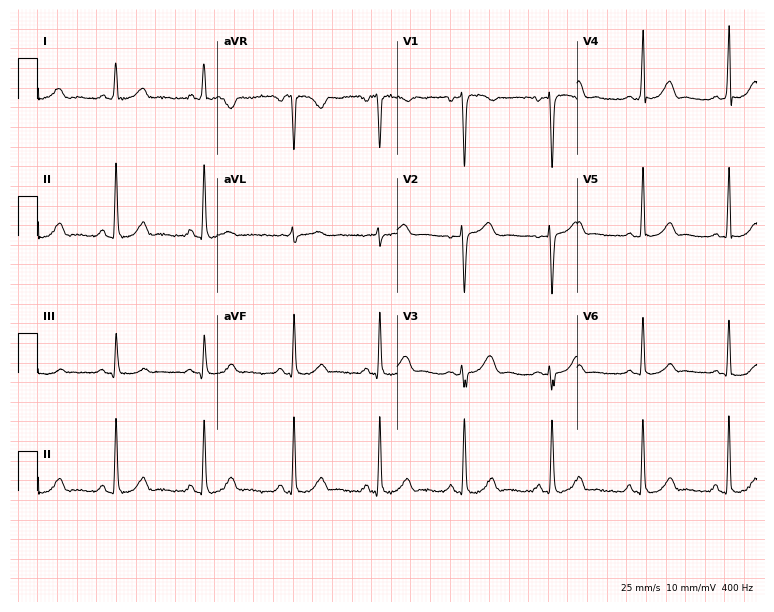
Standard 12-lead ECG recorded from a 46-year-old female patient (7.3-second recording at 400 Hz). Read as a normal ECG.